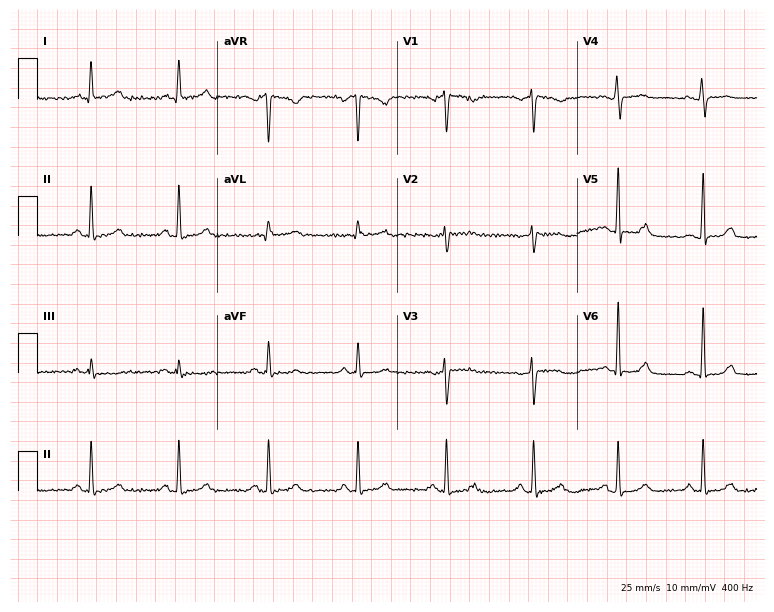
12-lead ECG from a 51-year-old female patient. Screened for six findings — first-degree AV block, right bundle branch block, left bundle branch block, sinus bradycardia, atrial fibrillation, sinus tachycardia — none is recorded. Only these six findings were labelled.